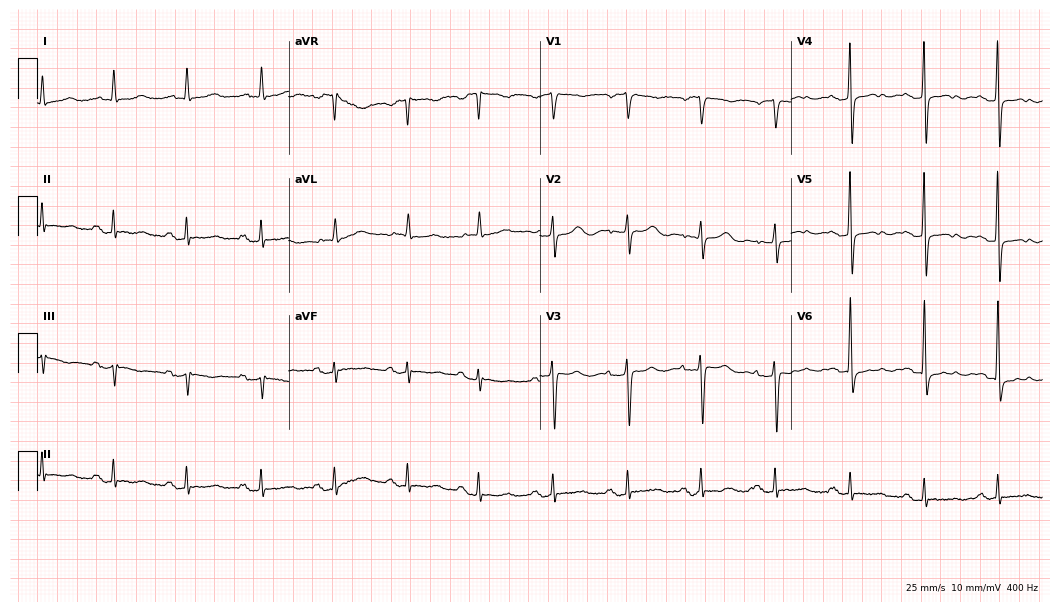
ECG — a woman, 78 years old. Screened for six findings — first-degree AV block, right bundle branch block, left bundle branch block, sinus bradycardia, atrial fibrillation, sinus tachycardia — none is recorded. Only these six findings were labelled.